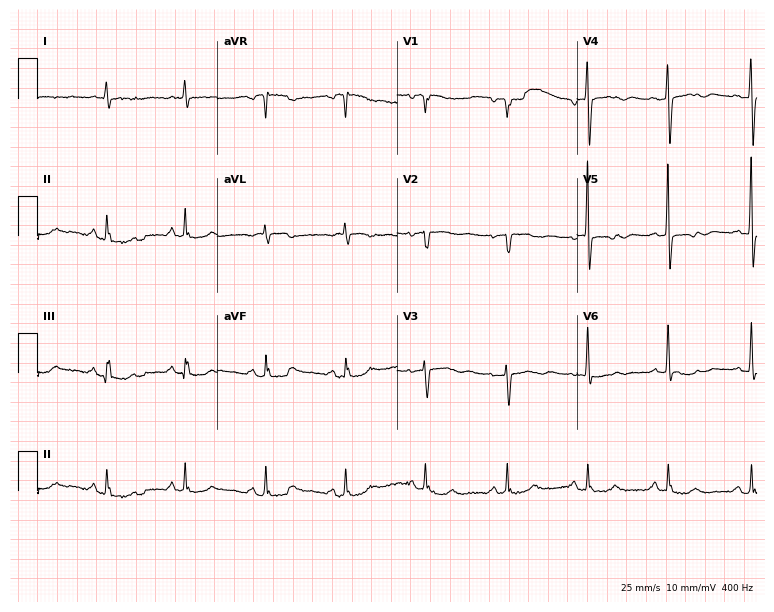
12-lead ECG from a 74-year-old woman. No first-degree AV block, right bundle branch block (RBBB), left bundle branch block (LBBB), sinus bradycardia, atrial fibrillation (AF) or sinus tachycardia recorded for this tracing.